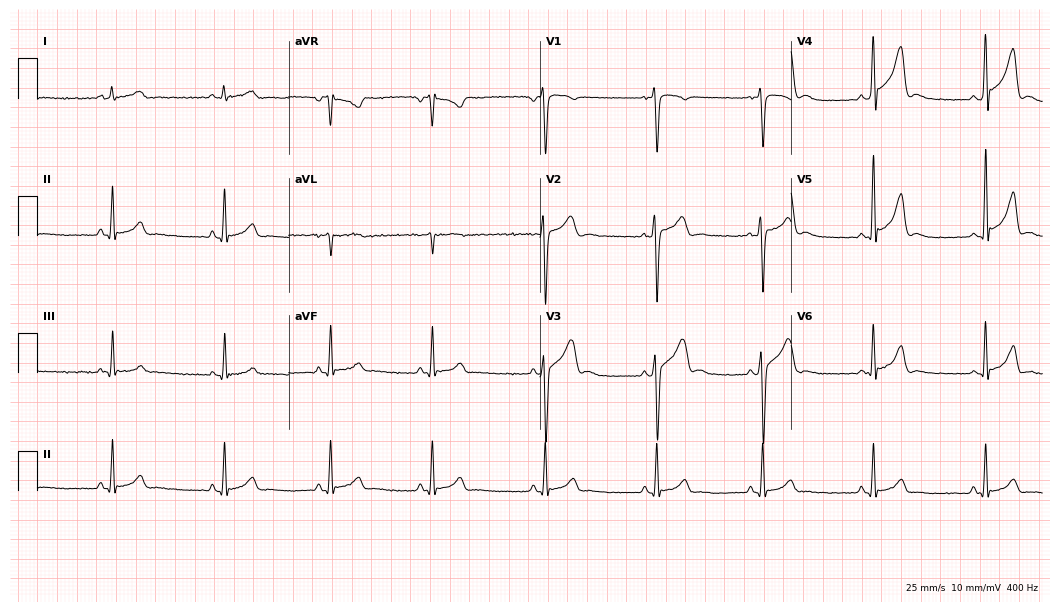
12-lead ECG from a man, 21 years old. No first-degree AV block, right bundle branch block (RBBB), left bundle branch block (LBBB), sinus bradycardia, atrial fibrillation (AF) or sinus tachycardia recorded for this tracing.